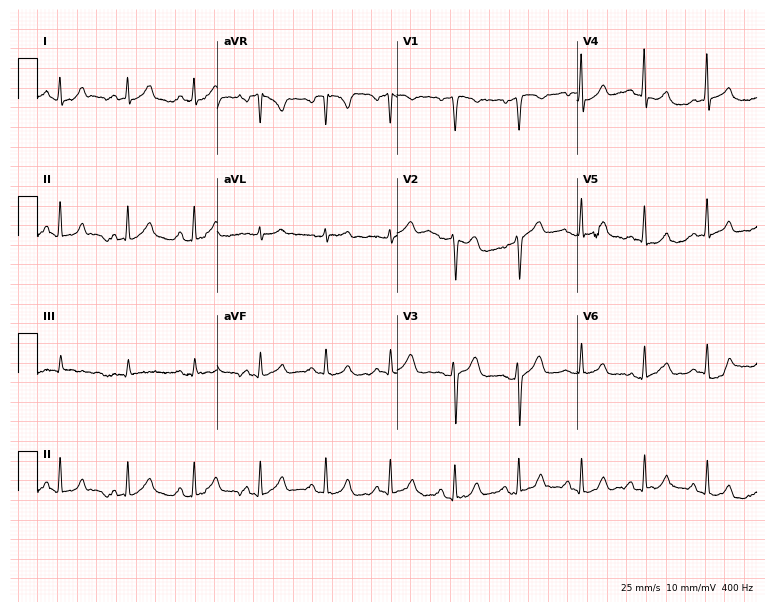
12-lead ECG from a 66-year-old female (7.3-second recording at 400 Hz). Recorded interpretation: within normal limits.